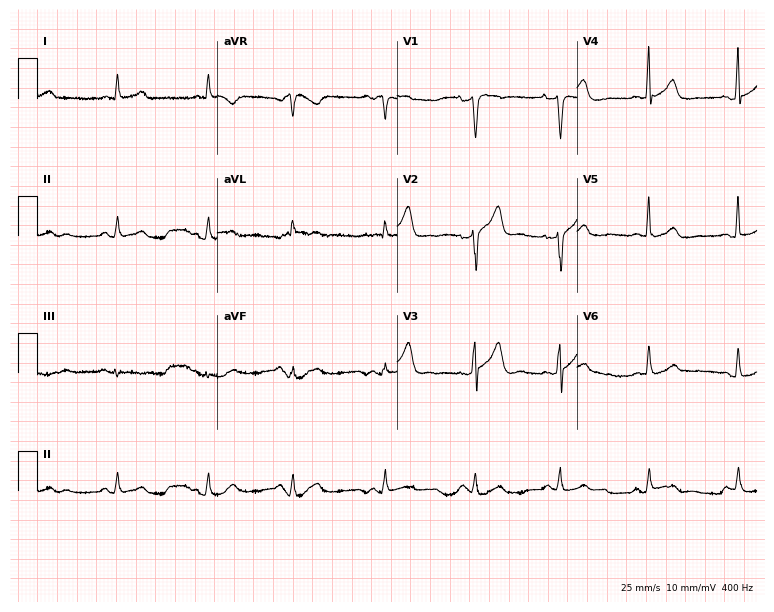
Standard 12-lead ECG recorded from a man, 63 years old (7.3-second recording at 400 Hz). None of these six findings is recorded: first-degree AV block, right bundle branch block (RBBB), left bundle branch block (LBBB), sinus bradycardia, atrial fibrillation (AF), sinus tachycardia.